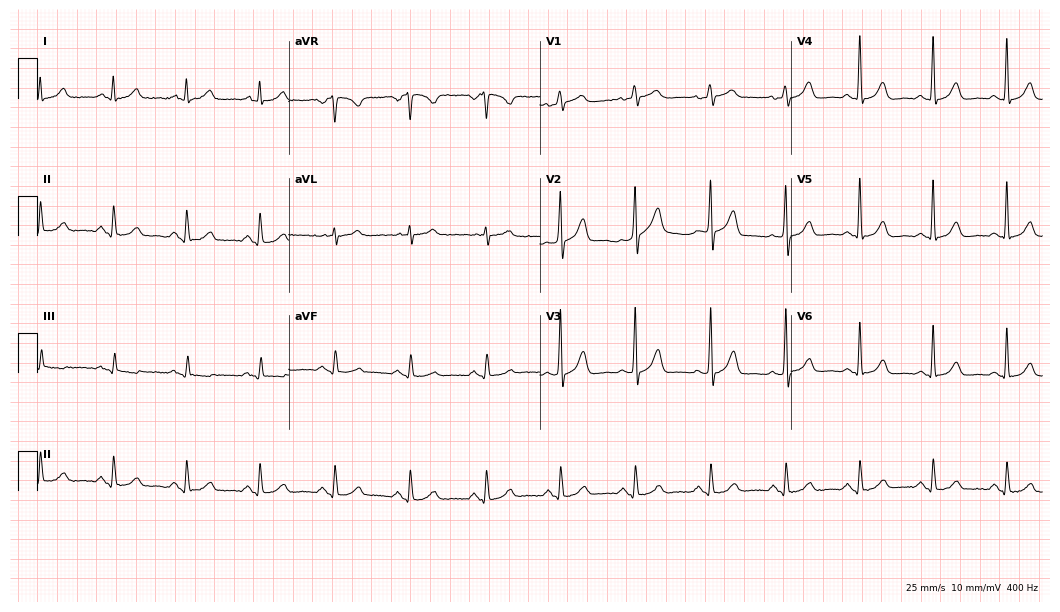
Resting 12-lead electrocardiogram. Patient: a woman, 61 years old. Read as a normal ECG.